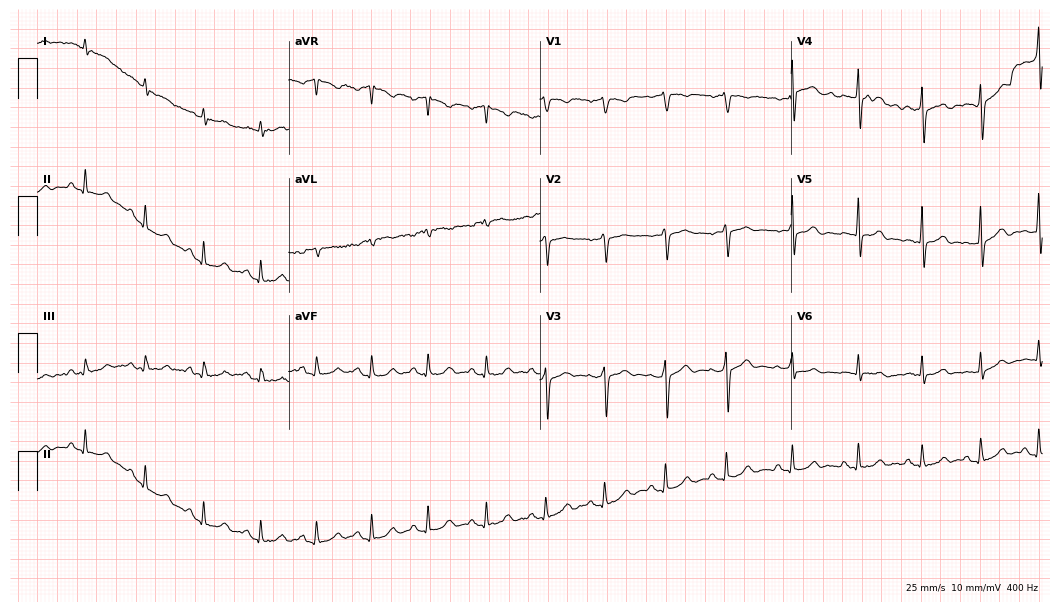
12-lead ECG from a 63-year-old male patient (10.2-second recording at 400 Hz). Recorded interpretation: within normal limits.